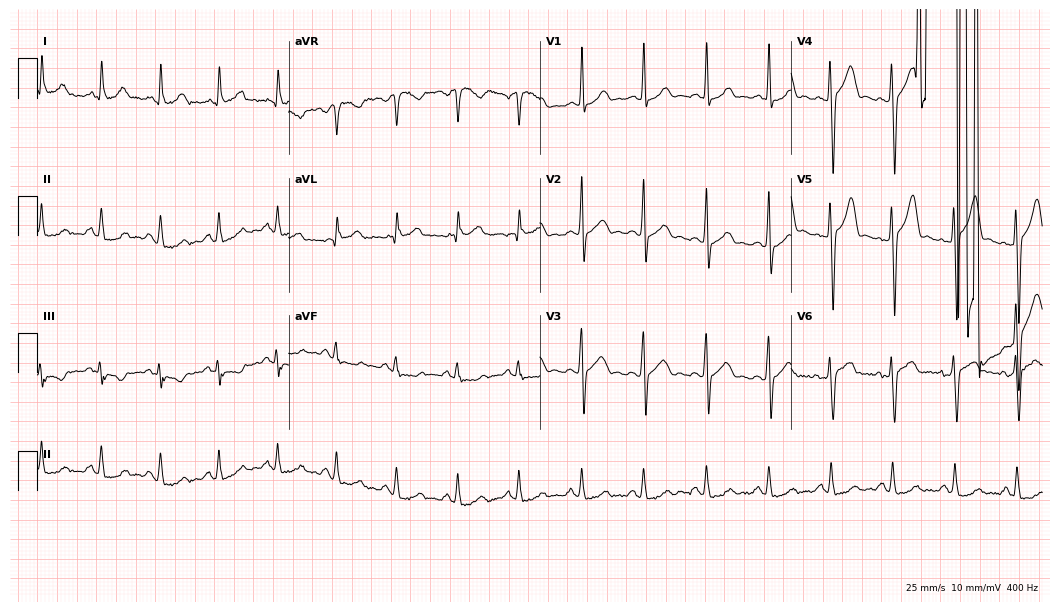
12-lead ECG from a man, 41 years old (10.2-second recording at 400 Hz). No first-degree AV block, right bundle branch block, left bundle branch block, sinus bradycardia, atrial fibrillation or sinus tachycardia recorded for this tracing.